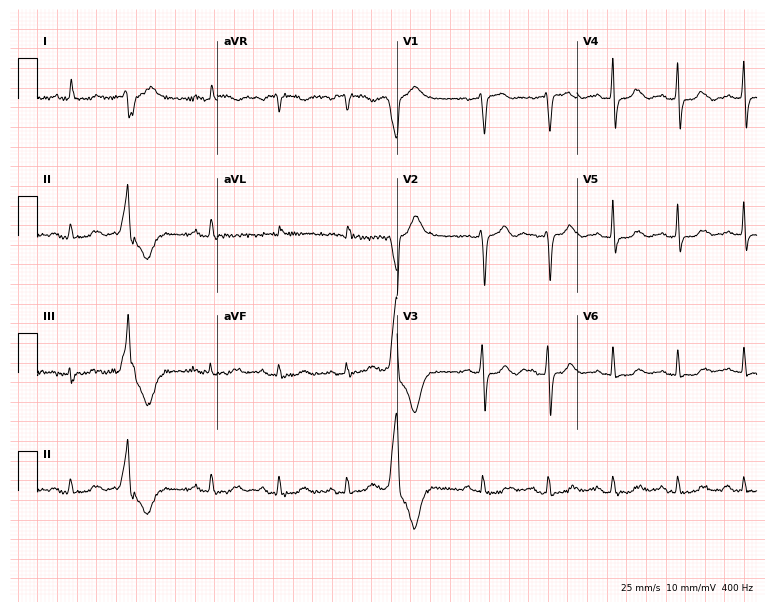
12-lead ECG (7.3-second recording at 400 Hz) from a 61-year-old female. Screened for six findings — first-degree AV block, right bundle branch block, left bundle branch block, sinus bradycardia, atrial fibrillation, sinus tachycardia — none is recorded.